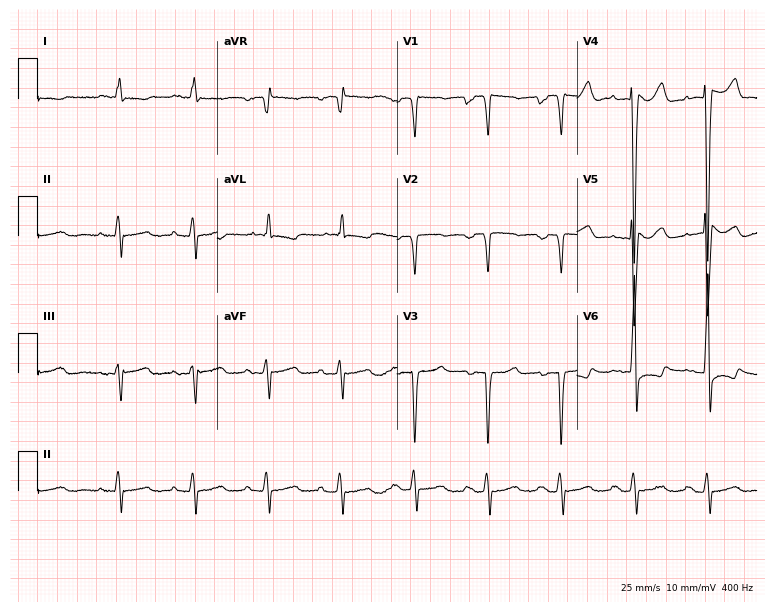
12-lead ECG (7.3-second recording at 400 Hz) from a man, 70 years old. Screened for six findings — first-degree AV block, right bundle branch block, left bundle branch block, sinus bradycardia, atrial fibrillation, sinus tachycardia — none is recorded.